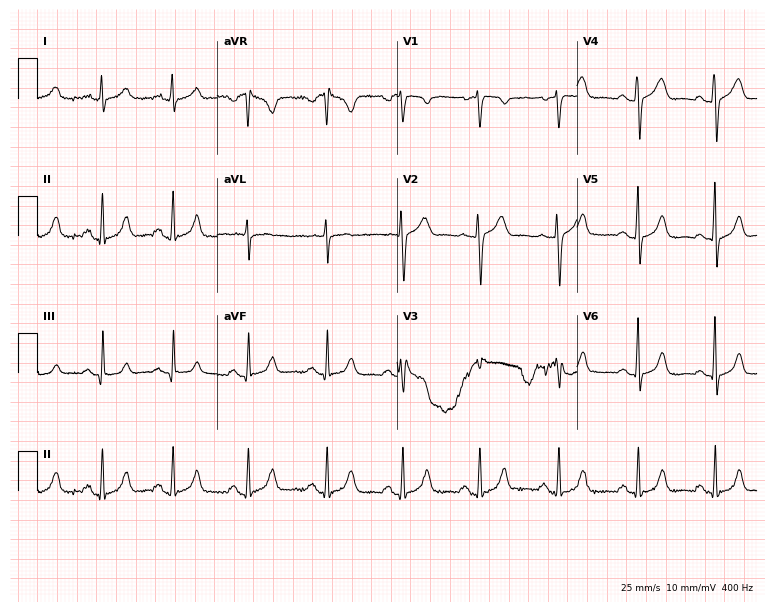
Resting 12-lead electrocardiogram. Patient: a female, 31 years old. Read as a normal ECG.